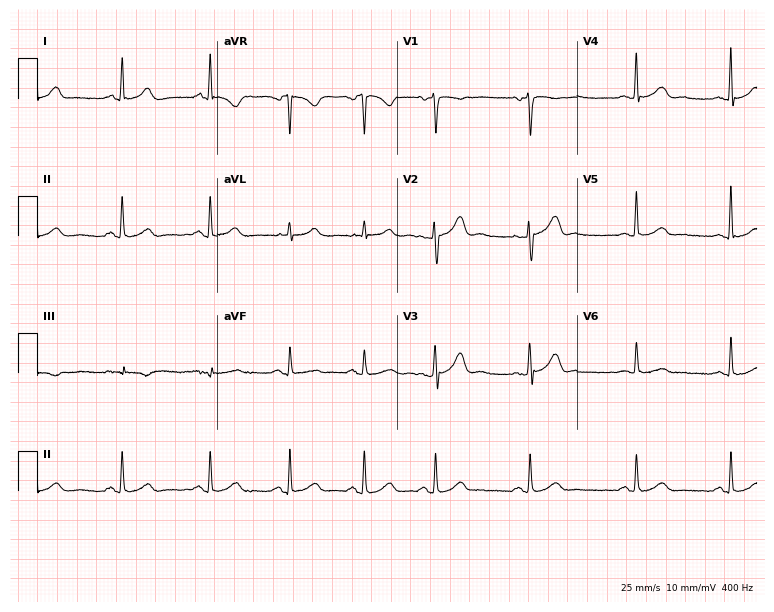
Resting 12-lead electrocardiogram. Patient: a female, 49 years old. Read as a normal ECG.